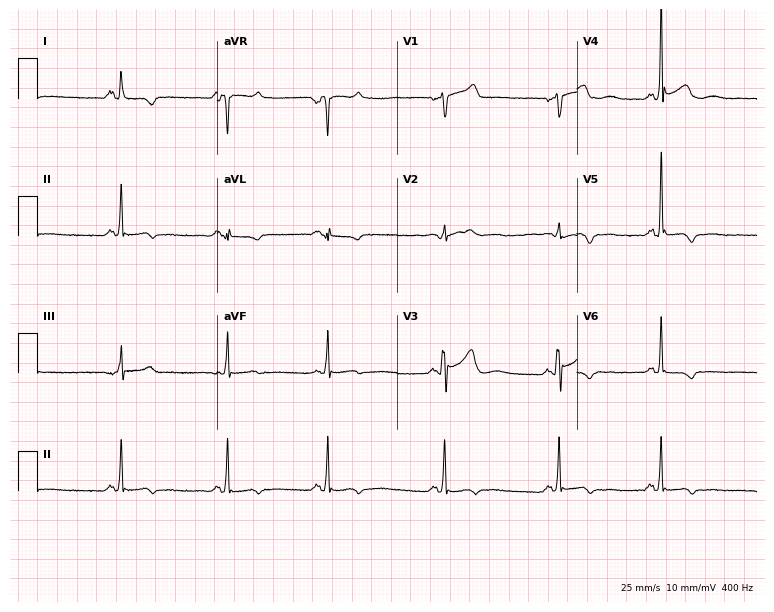
Resting 12-lead electrocardiogram (7.3-second recording at 400 Hz). Patient: a male, 35 years old. None of these six findings is recorded: first-degree AV block, right bundle branch block, left bundle branch block, sinus bradycardia, atrial fibrillation, sinus tachycardia. Findings outside these six are not listed.